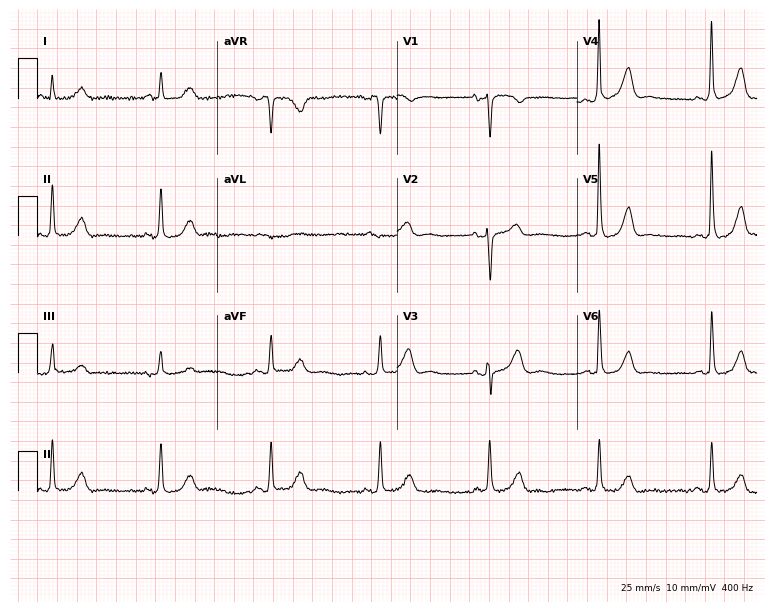
12-lead ECG (7.3-second recording at 400 Hz) from a 70-year-old female. Screened for six findings — first-degree AV block, right bundle branch block, left bundle branch block, sinus bradycardia, atrial fibrillation, sinus tachycardia — none is recorded.